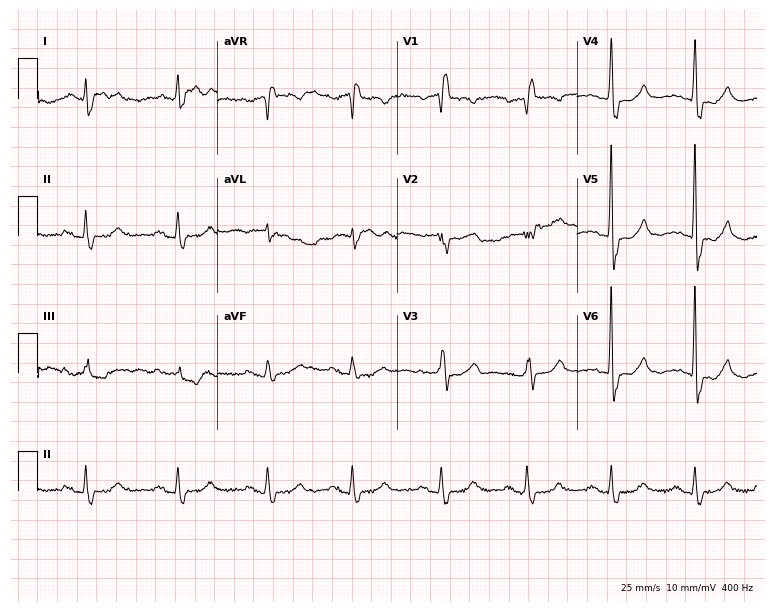
Standard 12-lead ECG recorded from a female, 83 years old. The tracing shows right bundle branch block.